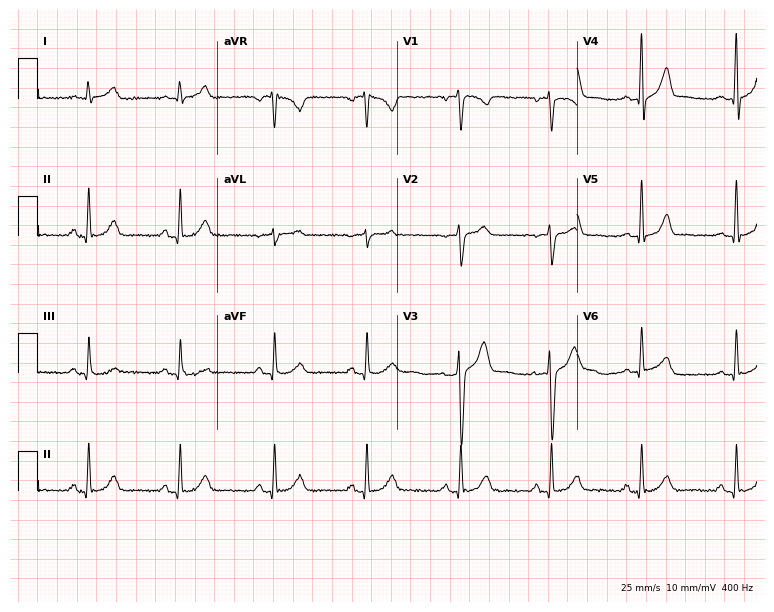
12-lead ECG from a 40-year-old male (7.3-second recording at 400 Hz). Recorded interpretation: within normal limits.